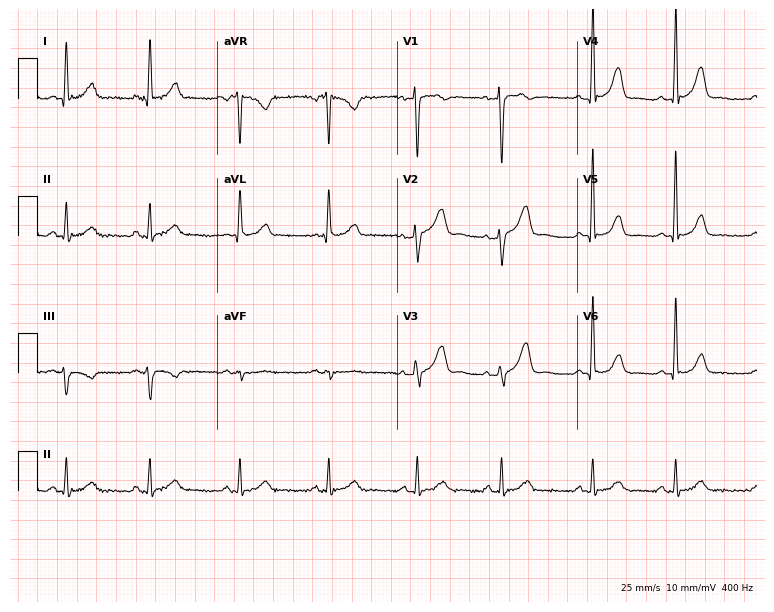
12-lead ECG (7.3-second recording at 400 Hz) from a woman, 61 years old. Labelled as a normal ECG.